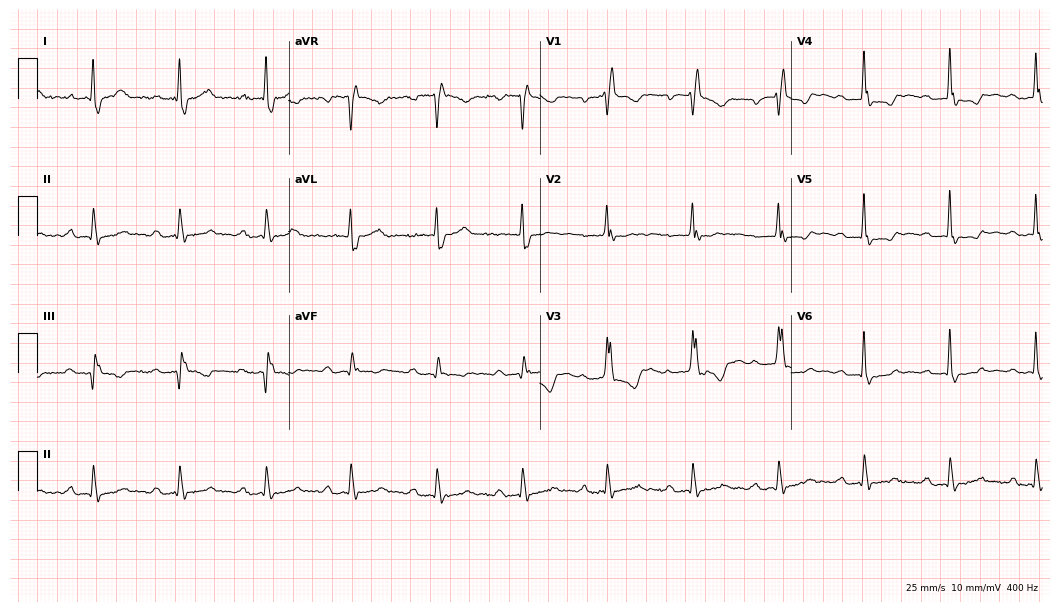
ECG — a male patient, 82 years old. Findings include right bundle branch block.